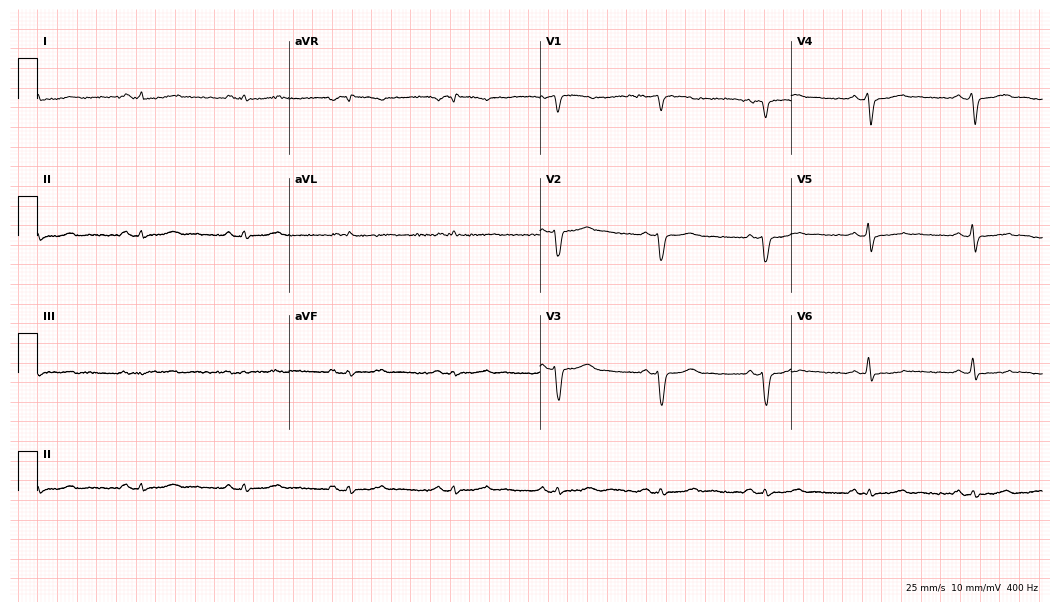
Electrocardiogram, a male, 62 years old. Of the six screened findings (first-degree AV block, right bundle branch block (RBBB), left bundle branch block (LBBB), sinus bradycardia, atrial fibrillation (AF), sinus tachycardia), none is recorded. Findings outside these six are not listed.